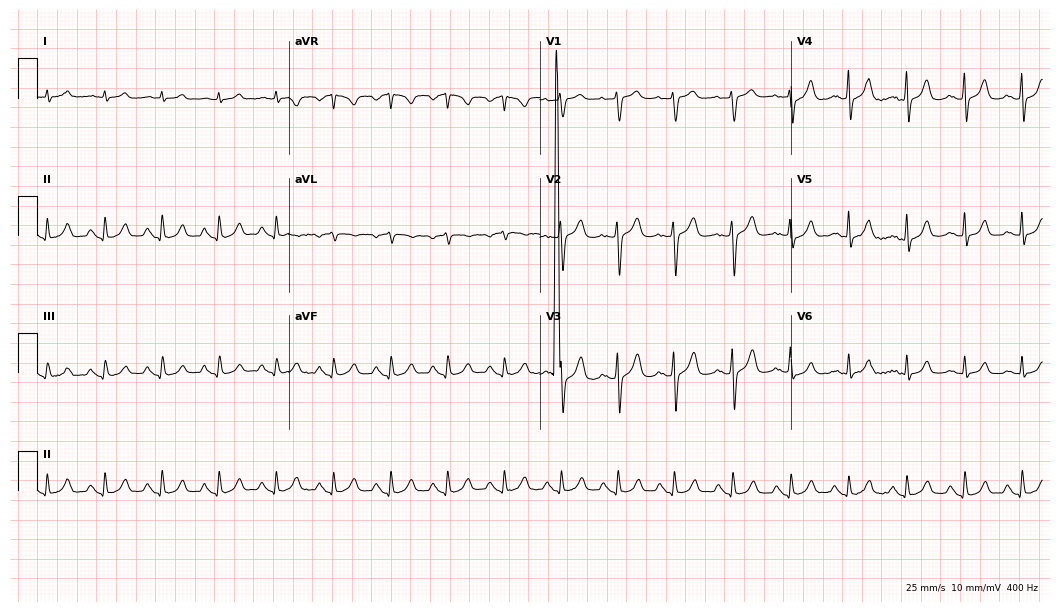
Standard 12-lead ECG recorded from a male patient, 75 years old (10.2-second recording at 400 Hz). The tracing shows sinus tachycardia (a sinus rate of 100 beats per minute or more).